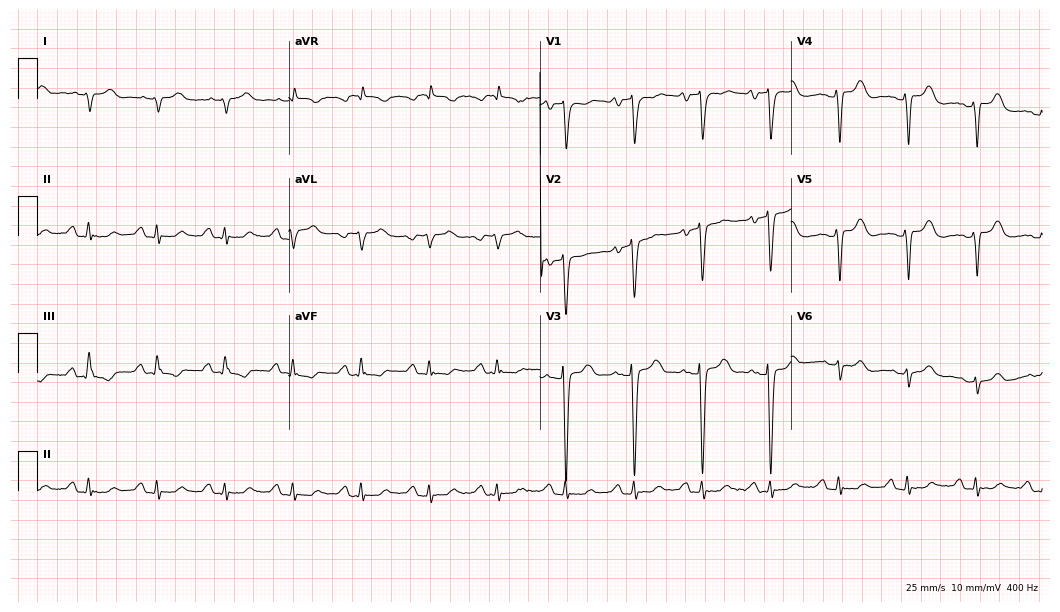
Electrocardiogram, a woman, 64 years old. Of the six screened findings (first-degree AV block, right bundle branch block (RBBB), left bundle branch block (LBBB), sinus bradycardia, atrial fibrillation (AF), sinus tachycardia), none is recorded. Findings outside these six are not listed.